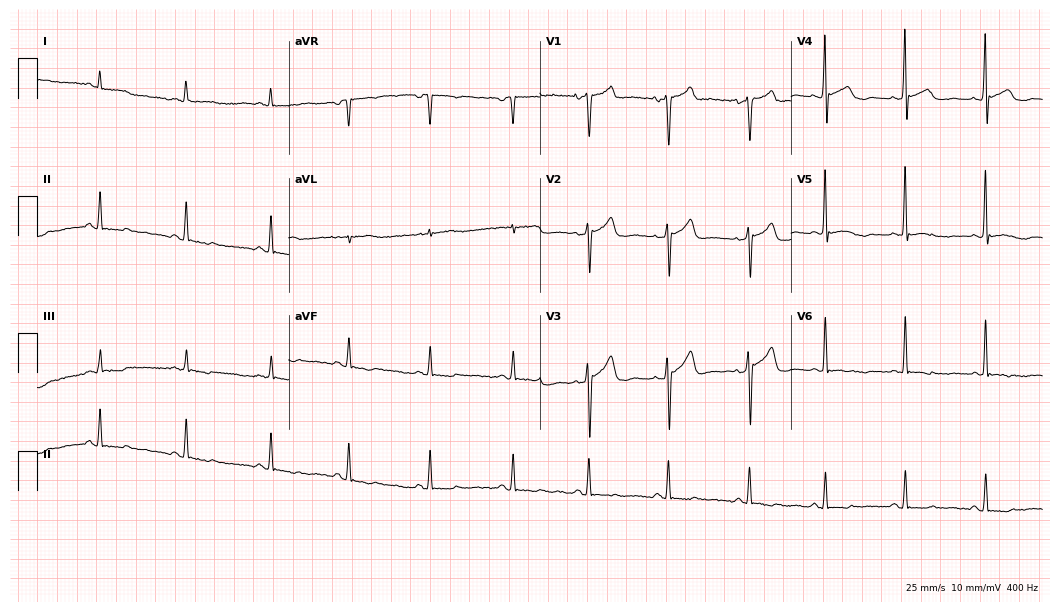
Standard 12-lead ECG recorded from a male patient, 55 years old (10.2-second recording at 400 Hz). None of these six findings is recorded: first-degree AV block, right bundle branch block, left bundle branch block, sinus bradycardia, atrial fibrillation, sinus tachycardia. Findings outside these six are not listed.